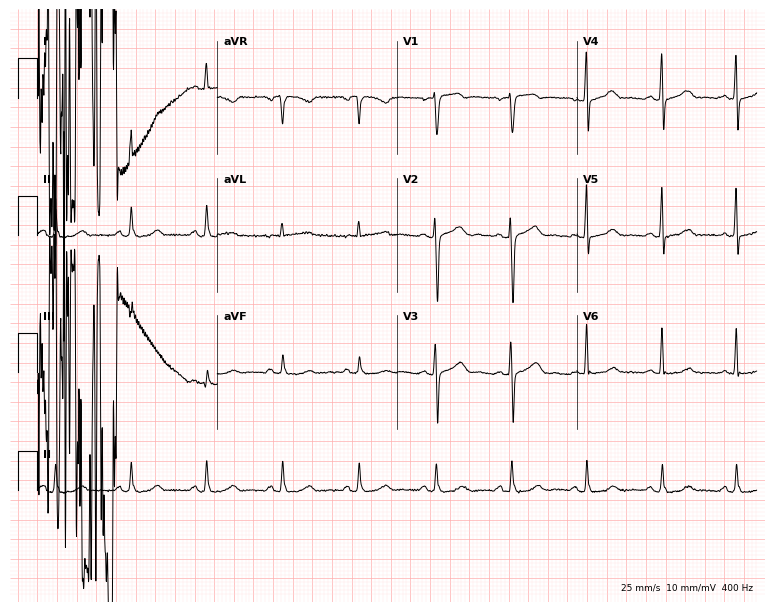
Electrocardiogram, a female, 58 years old. Of the six screened findings (first-degree AV block, right bundle branch block, left bundle branch block, sinus bradycardia, atrial fibrillation, sinus tachycardia), none is recorded. Findings outside these six are not listed.